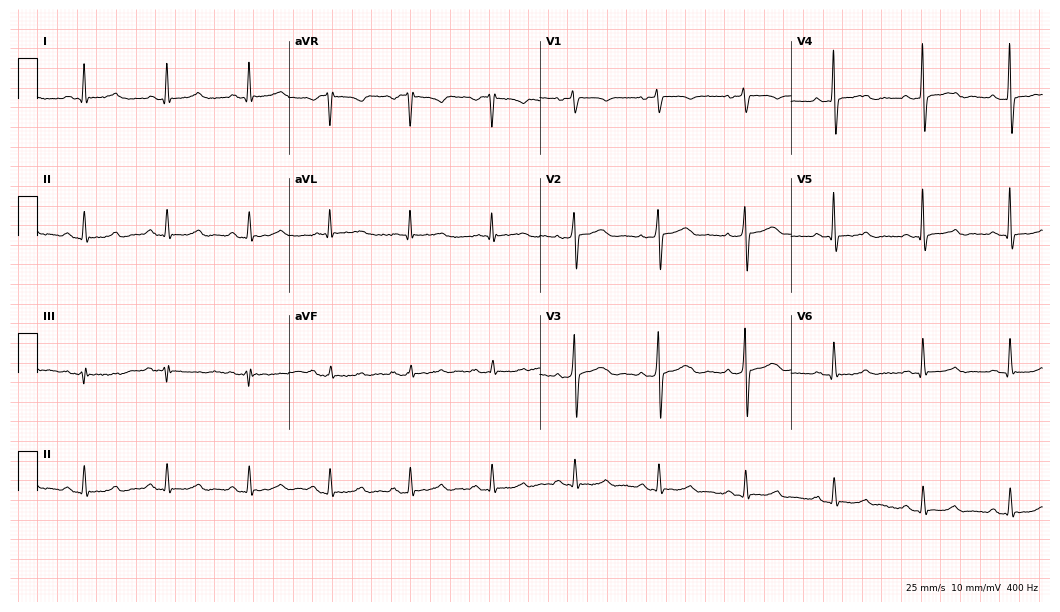
12-lead ECG (10.2-second recording at 400 Hz) from a 73-year-old man. Screened for six findings — first-degree AV block, right bundle branch block, left bundle branch block, sinus bradycardia, atrial fibrillation, sinus tachycardia — none is recorded. Findings outside these six are not listed.